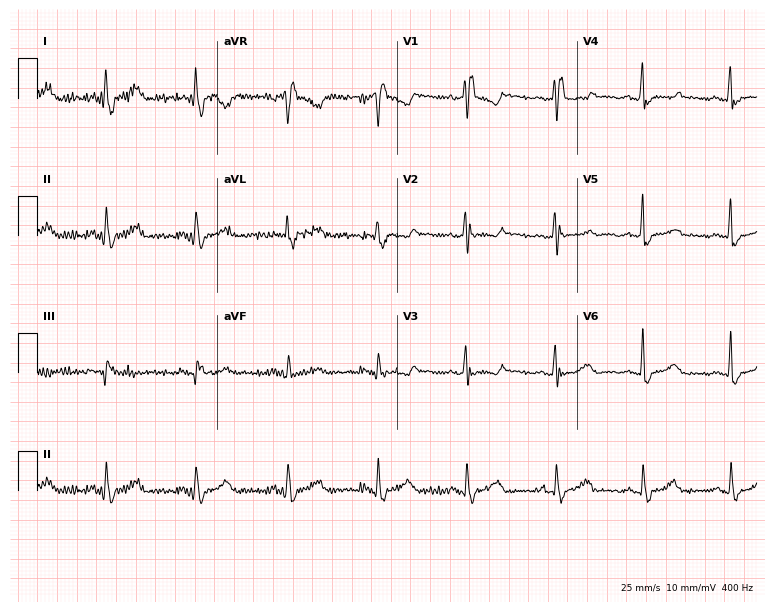
Electrocardiogram, a 43-year-old woman. Of the six screened findings (first-degree AV block, right bundle branch block, left bundle branch block, sinus bradycardia, atrial fibrillation, sinus tachycardia), none is recorded. Findings outside these six are not listed.